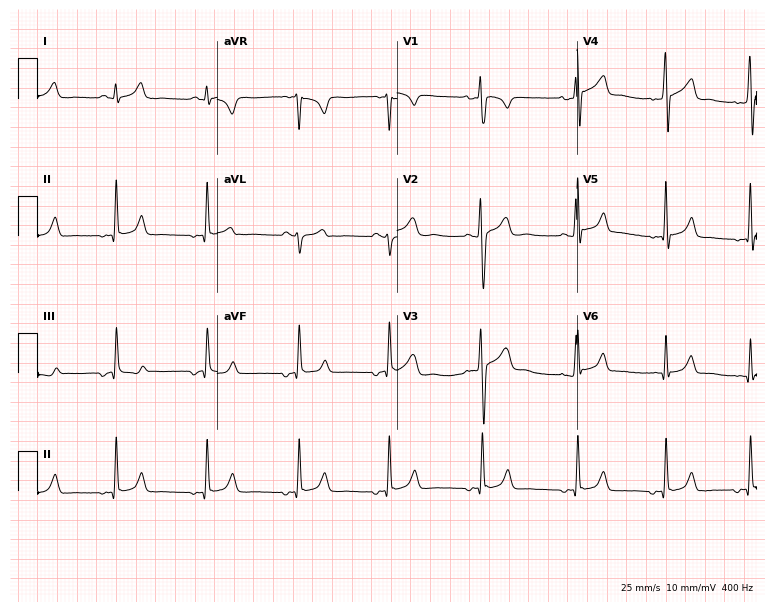
Electrocardiogram, a male patient, 20 years old. Of the six screened findings (first-degree AV block, right bundle branch block (RBBB), left bundle branch block (LBBB), sinus bradycardia, atrial fibrillation (AF), sinus tachycardia), none is recorded.